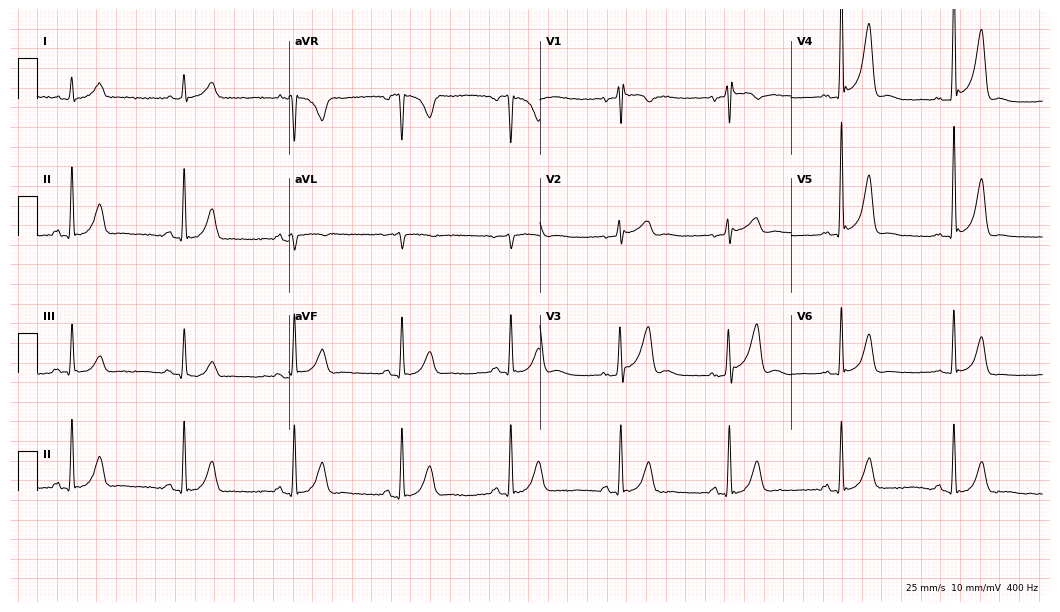
Resting 12-lead electrocardiogram (10.2-second recording at 400 Hz). Patient: a male, 73 years old. Read as a normal ECG.